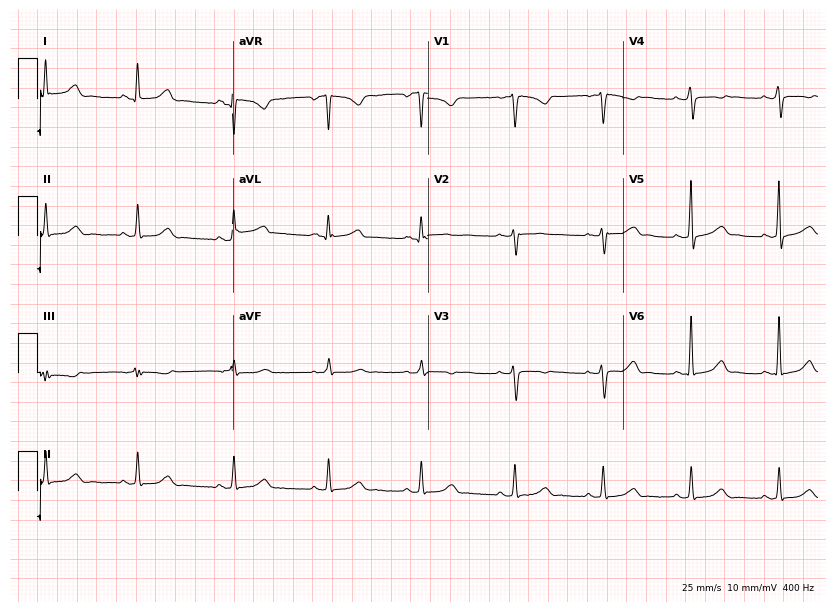
Resting 12-lead electrocardiogram (8-second recording at 400 Hz). Patient: a female, 30 years old. Read as a normal ECG.